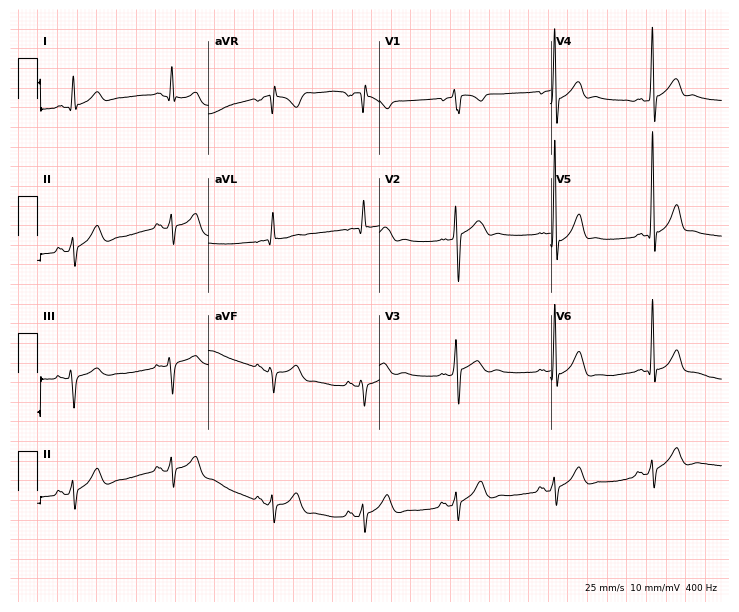
12-lead ECG (7-second recording at 400 Hz) from a man, 20 years old. Screened for six findings — first-degree AV block, right bundle branch block, left bundle branch block, sinus bradycardia, atrial fibrillation, sinus tachycardia — none is recorded.